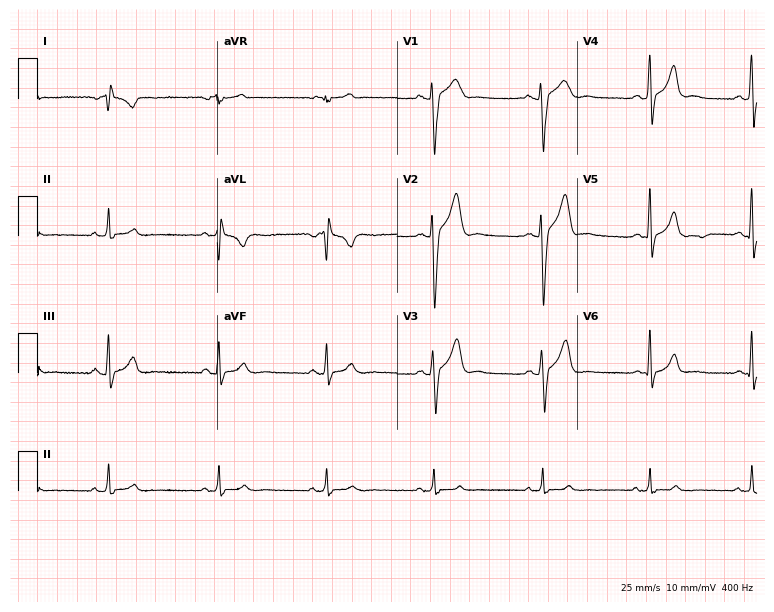
12-lead ECG (7.3-second recording at 400 Hz) from a 25-year-old man. Screened for six findings — first-degree AV block, right bundle branch block (RBBB), left bundle branch block (LBBB), sinus bradycardia, atrial fibrillation (AF), sinus tachycardia — none is recorded. Findings outside these six are not listed.